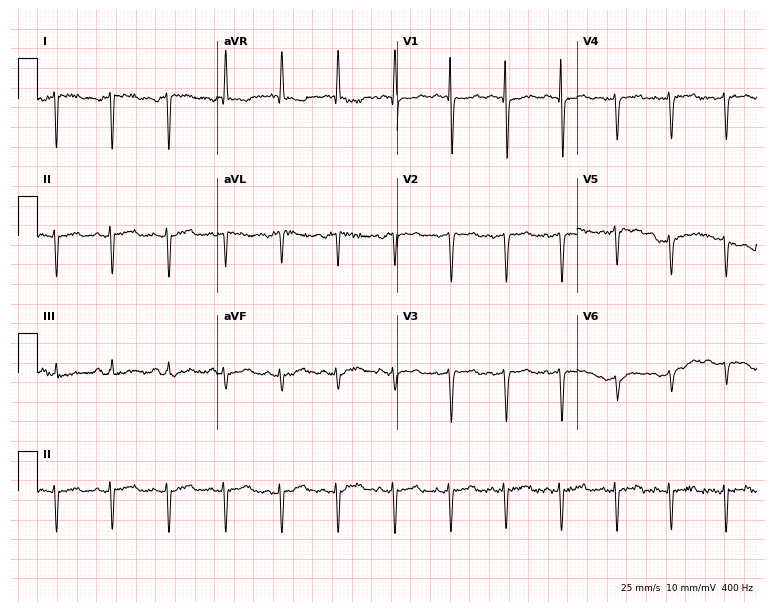
ECG — a male patient, 29 years old. Screened for six findings — first-degree AV block, right bundle branch block, left bundle branch block, sinus bradycardia, atrial fibrillation, sinus tachycardia — none is recorded. Findings outside these six are not listed.